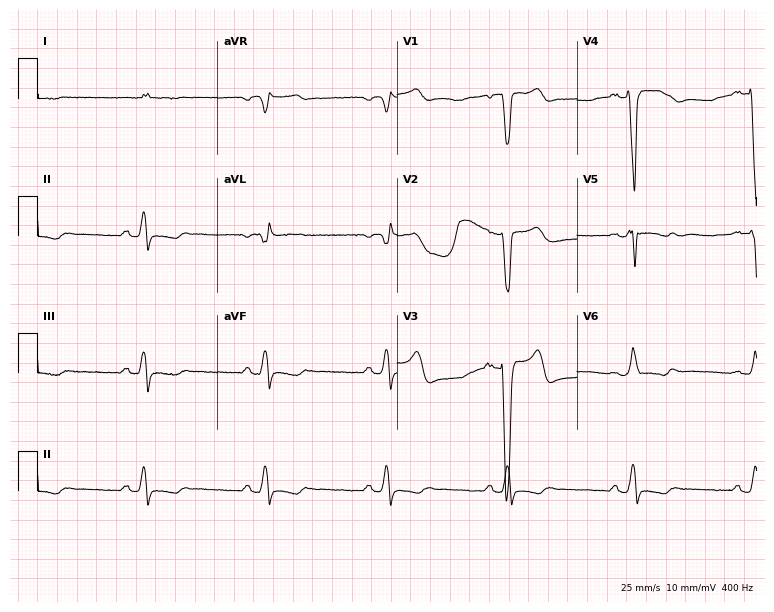
ECG (7.3-second recording at 400 Hz) — a male patient, 49 years old. Screened for six findings — first-degree AV block, right bundle branch block, left bundle branch block, sinus bradycardia, atrial fibrillation, sinus tachycardia — none is recorded.